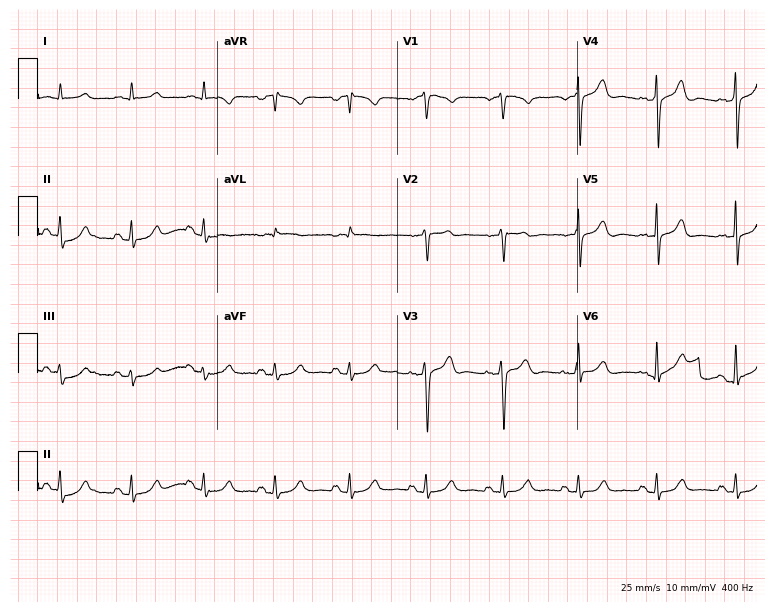
12-lead ECG from a 44-year-old male. Recorded interpretation: within normal limits.